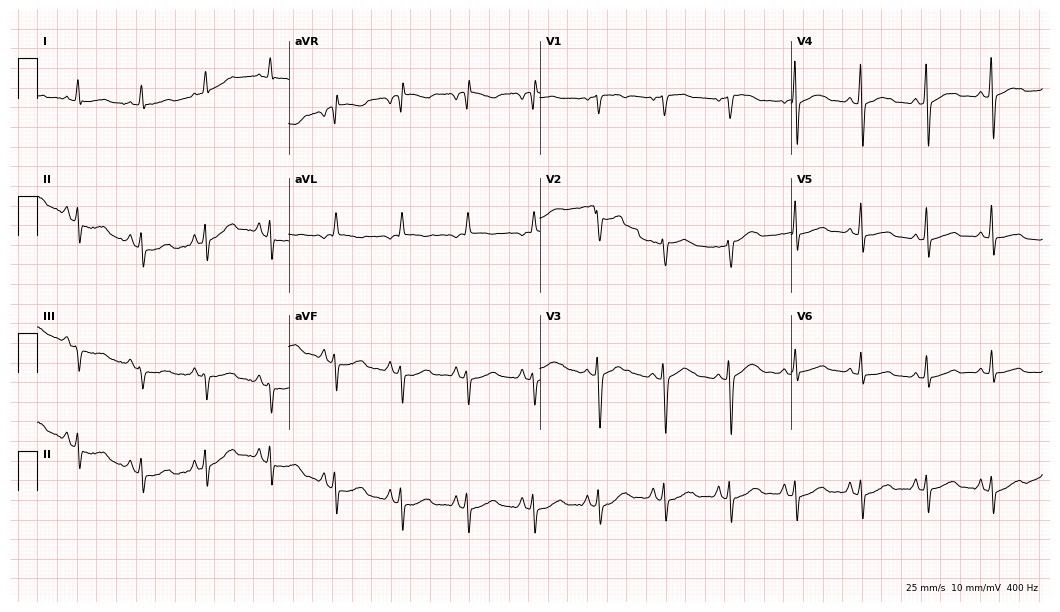
Electrocardiogram, a 62-year-old female. Overall reading on record: normal ECG.